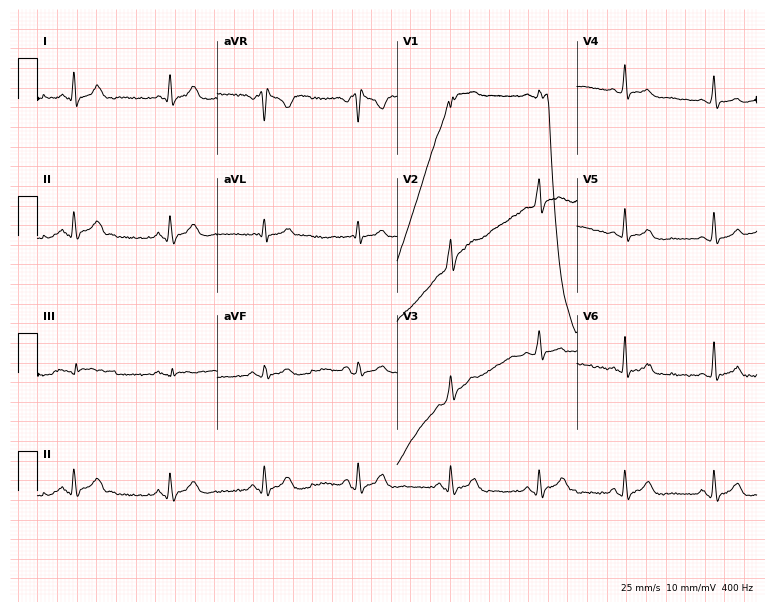
12-lead ECG from a 40-year-old male. No first-degree AV block, right bundle branch block, left bundle branch block, sinus bradycardia, atrial fibrillation or sinus tachycardia recorded for this tracing. Only these six findings were labelled.